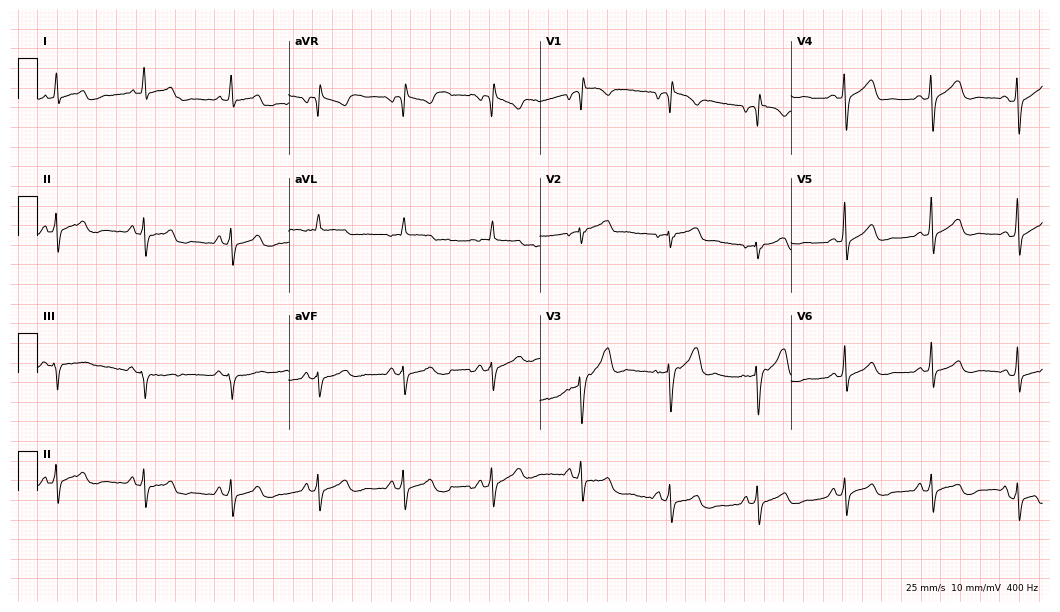
Resting 12-lead electrocardiogram. Patient: a male, 57 years old. None of these six findings is recorded: first-degree AV block, right bundle branch block, left bundle branch block, sinus bradycardia, atrial fibrillation, sinus tachycardia.